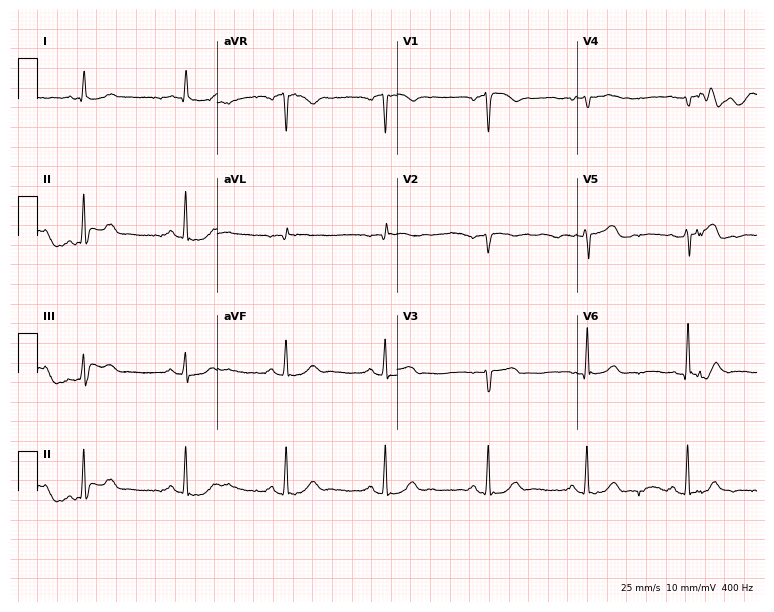
12-lead ECG from a man, 68 years old (7.3-second recording at 400 Hz). No first-degree AV block, right bundle branch block (RBBB), left bundle branch block (LBBB), sinus bradycardia, atrial fibrillation (AF) or sinus tachycardia recorded for this tracing.